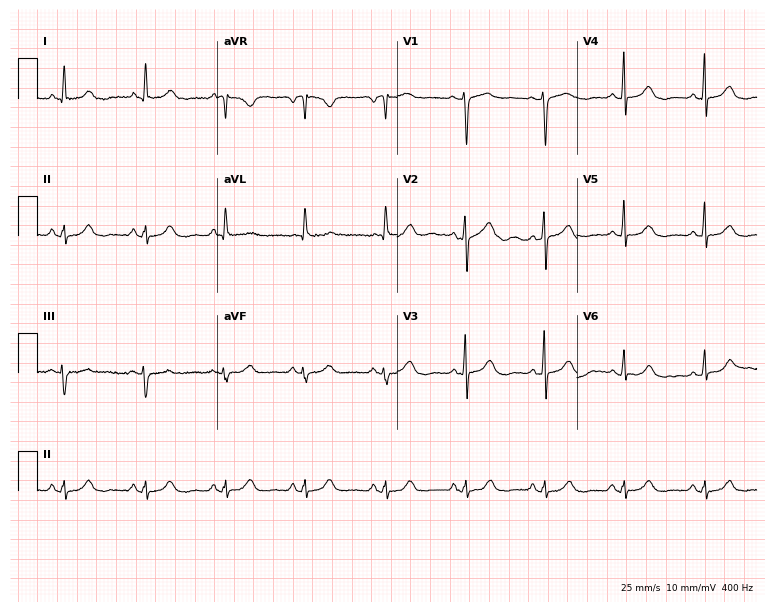
12-lead ECG from a 74-year-old female (7.3-second recording at 400 Hz). Recorded interpretation: within normal limits.